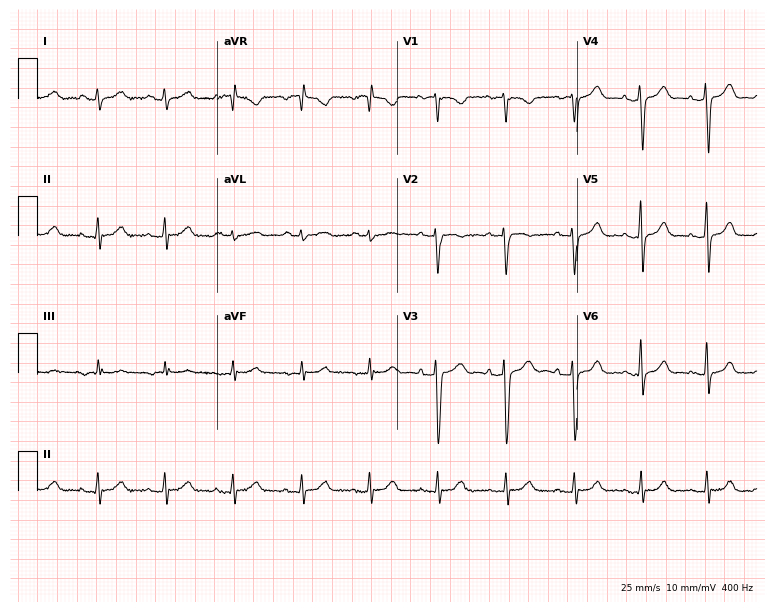
Electrocardiogram (7.3-second recording at 400 Hz), a female patient, 39 years old. Overall reading on record: normal ECG.